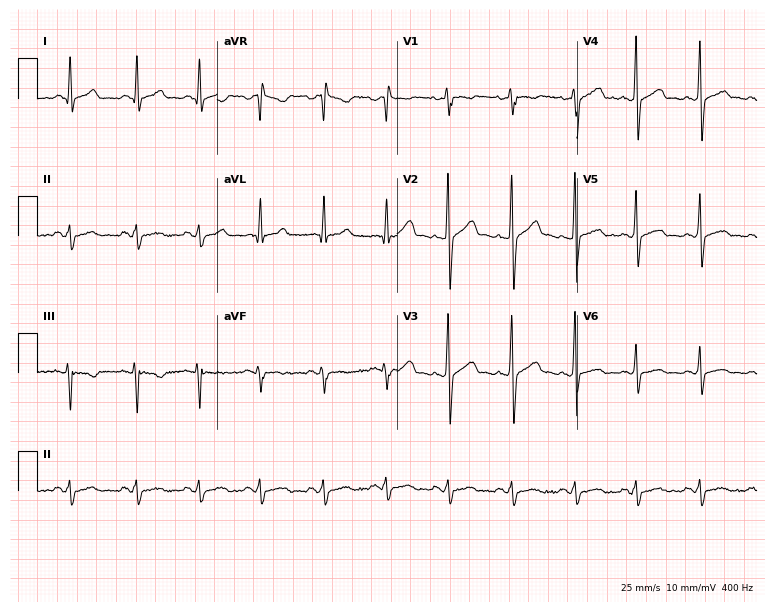
ECG (7.3-second recording at 400 Hz) — a male, 32 years old. Screened for six findings — first-degree AV block, right bundle branch block (RBBB), left bundle branch block (LBBB), sinus bradycardia, atrial fibrillation (AF), sinus tachycardia — none is recorded. Other findings, if any, are not listed.